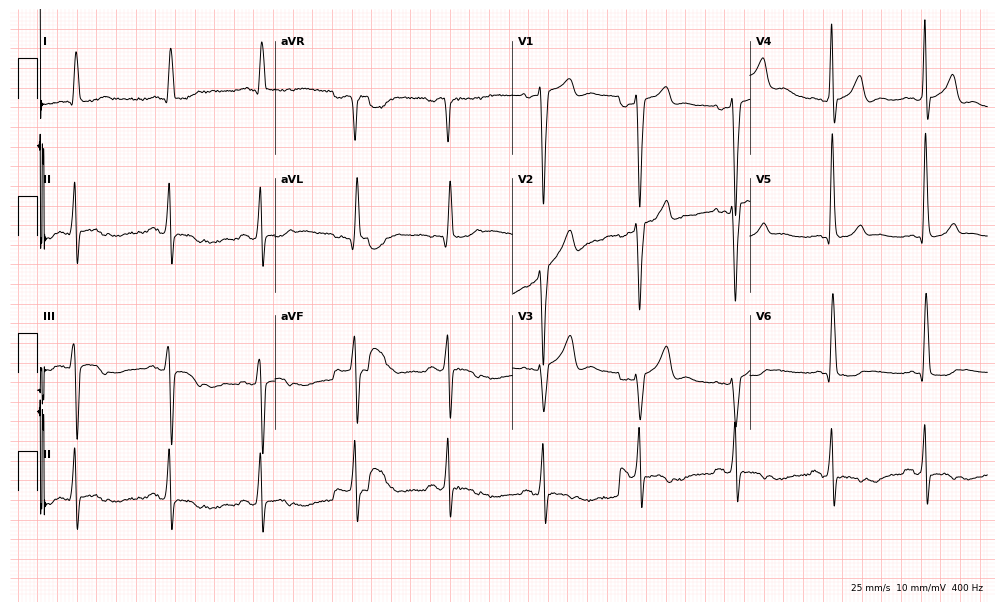
Resting 12-lead electrocardiogram (9.7-second recording at 400 Hz). Patient: a 67-year-old male. None of these six findings is recorded: first-degree AV block, right bundle branch block, left bundle branch block, sinus bradycardia, atrial fibrillation, sinus tachycardia. Findings outside these six are not listed.